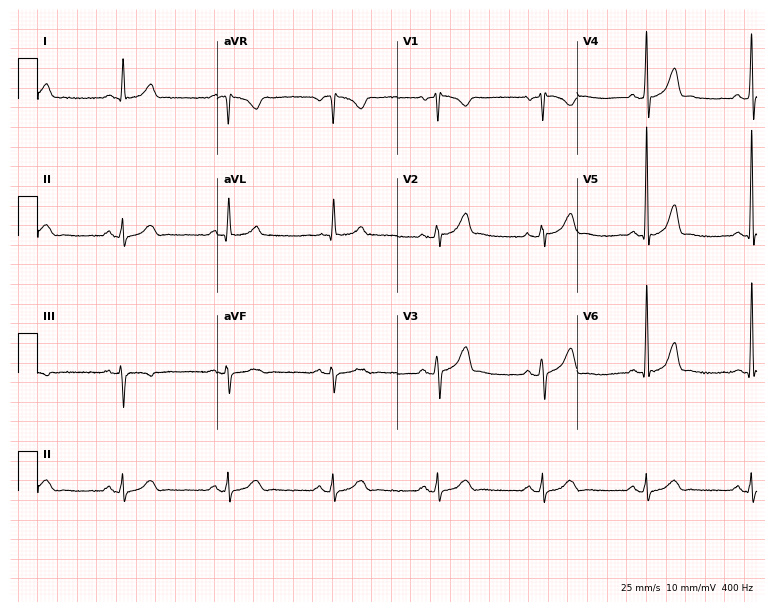
Resting 12-lead electrocardiogram (7.3-second recording at 400 Hz). Patient: a 67-year-old male. Read as a normal ECG.